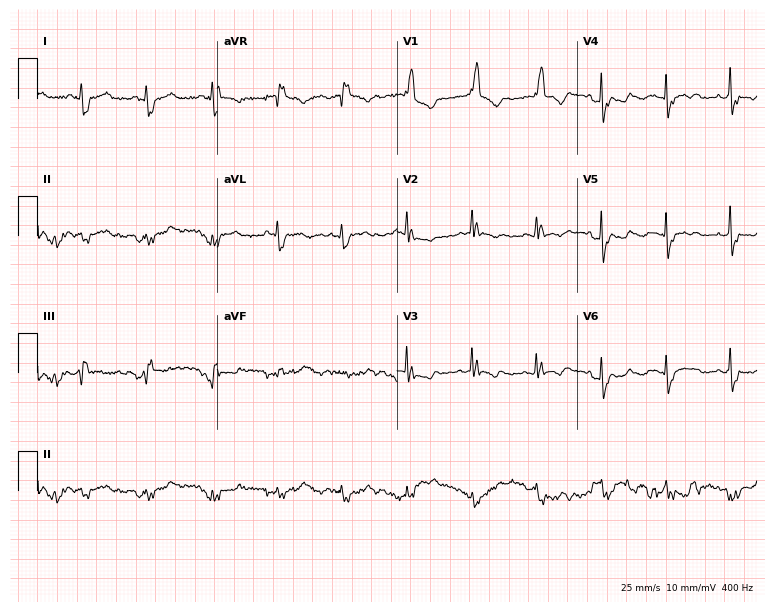
12-lead ECG from an 80-year-old female patient (7.3-second recording at 400 Hz). Shows right bundle branch block.